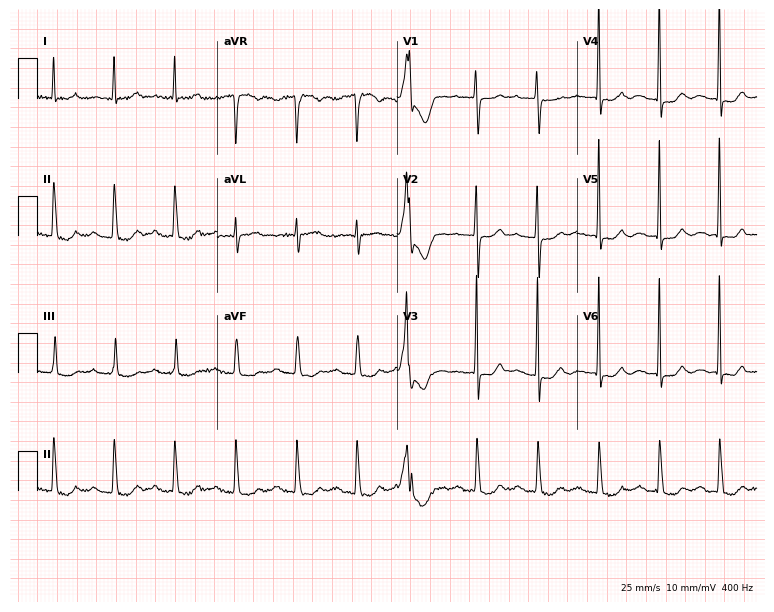
Standard 12-lead ECG recorded from a female, 83 years old (7.3-second recording at 400 Hz). None of these six findings is recorded: first-degree AV block, right bundle branch block (RBBB), left bundle branch block (LBBB), sinus bradycardia, atrial fibrillation (AF), sinus tachycardia. Other findings, if any, are not listed.